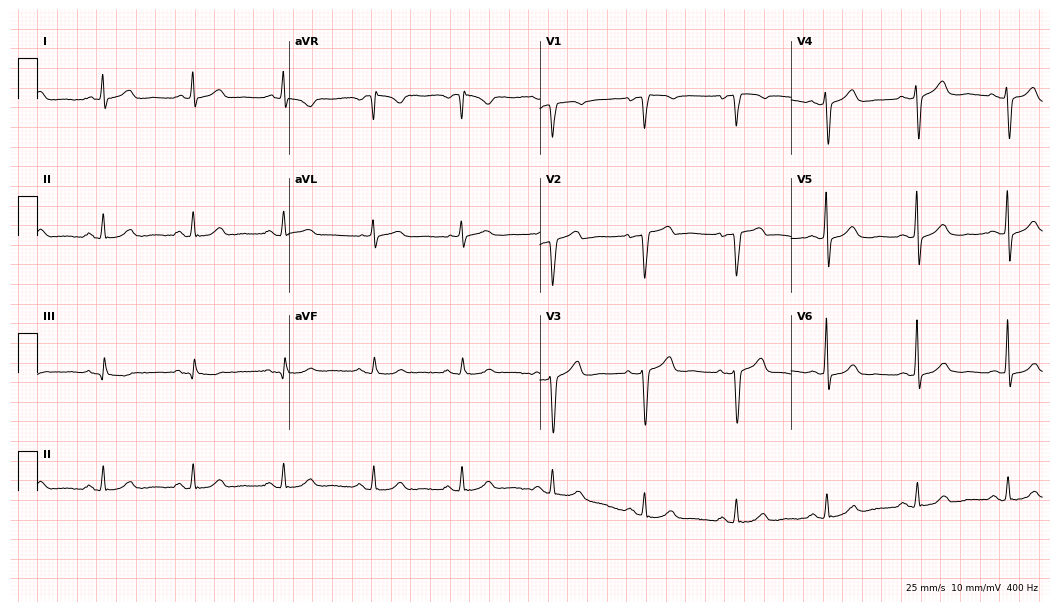
12-lead ECG from a male patient, 39 years old. No first-degree AV block, right bundle branch block, left bundle branch block, sinus bradycardia, atrial fibrillation or sinus tachycardia recorded for this tracing. Other findings, if any, are not listed.